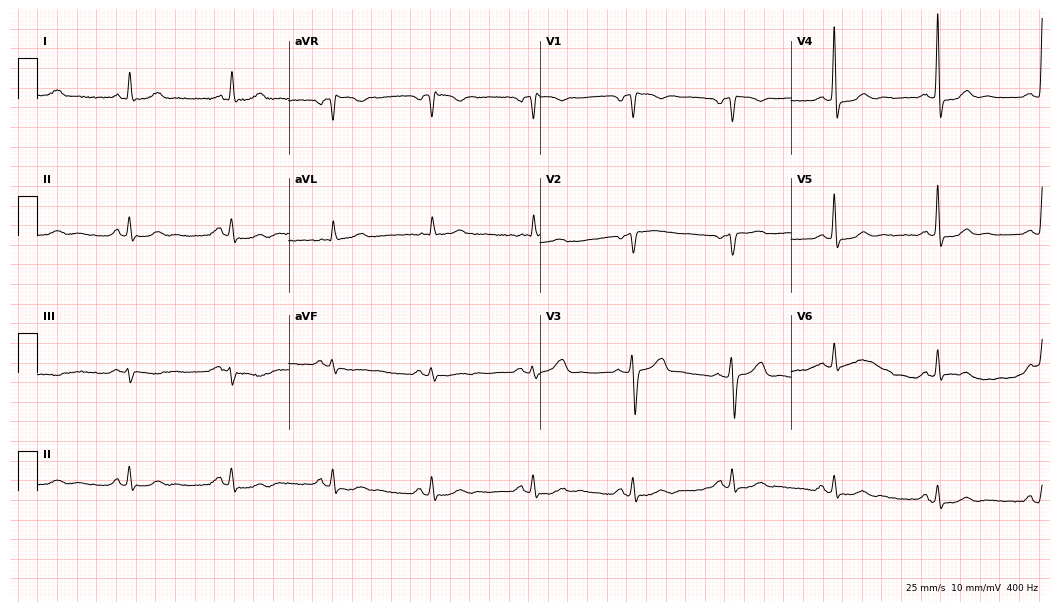
Resting 12-lead electrocardiogram (10.2-second recording at 400 Hz). Patient: a 66-year-old woman. None of these six findings is recorded: first-degree AV block, right bundle branch block, left bundle branch block, sinus bradycardia, atrial fibrillation, sinus tachycardia. Findings outside these six are not listed.